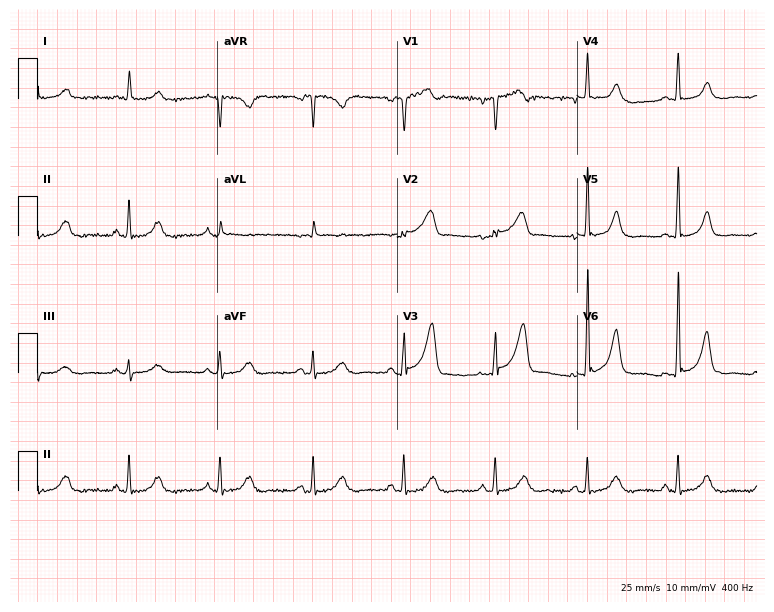
12-lead ECG from a male, 76 years old. Recorded interpretation: within normal limits.